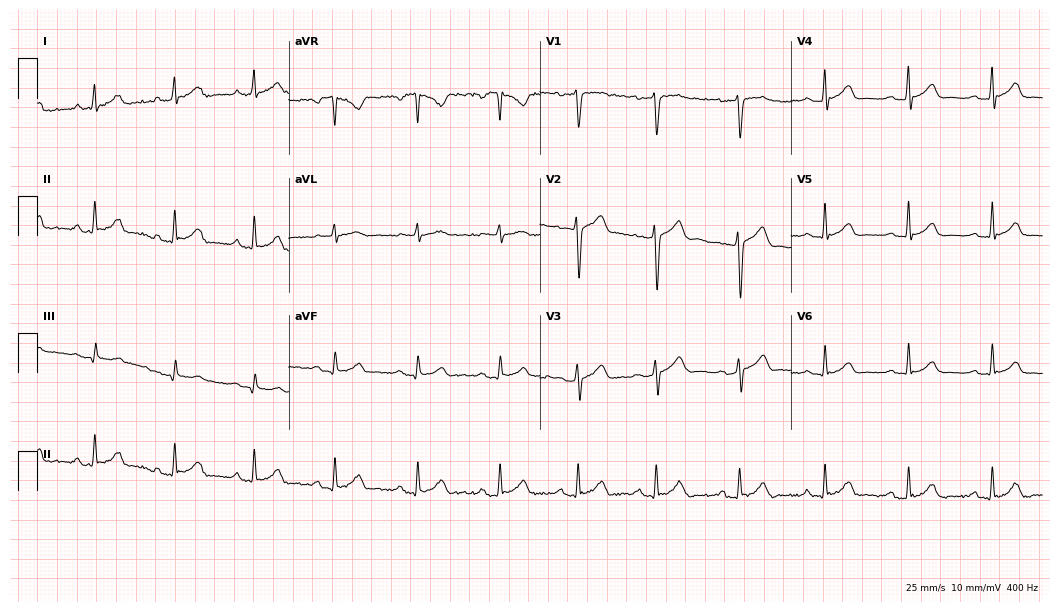
12-lead ECG from a 32-year-old male patient (10.2-second recording at 400 Hz). Recorded interpretation: within normal limits.